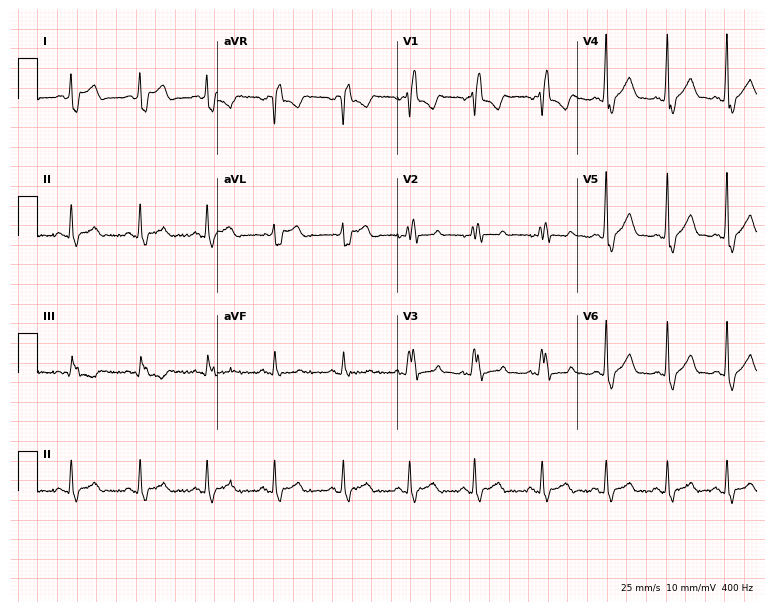
Standard 12-lead ECG recorded from a female, 31 years old (7.3-second recording at 400 Hz). The tracing shows right bundle branch block (RBBB).